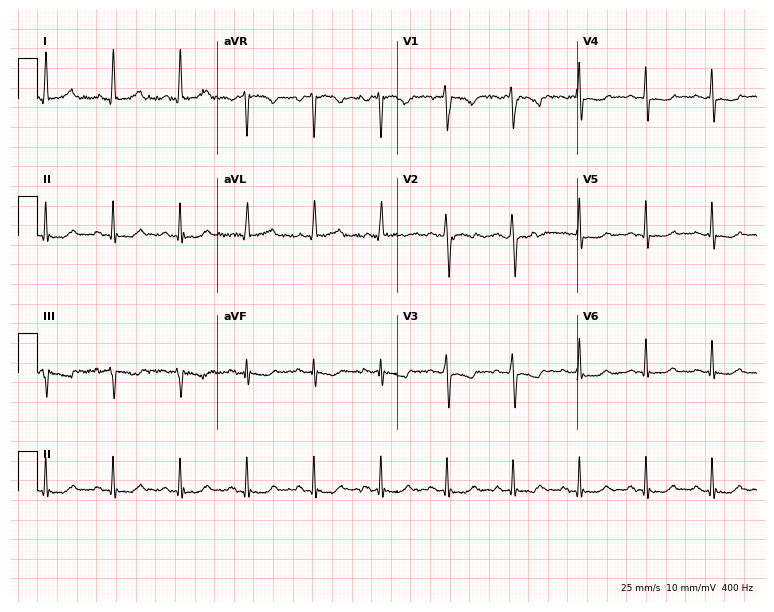
Resting 12-lead electrocardiogram (7.3-second recording at 400 Hz). Patient: a 41-year-old woman. None of these six findings is recorded: first-degree AV block, right bundle branch block, left bundle branch block, sinus bradycardia, atrial fibrillation, sinus tachycardia.